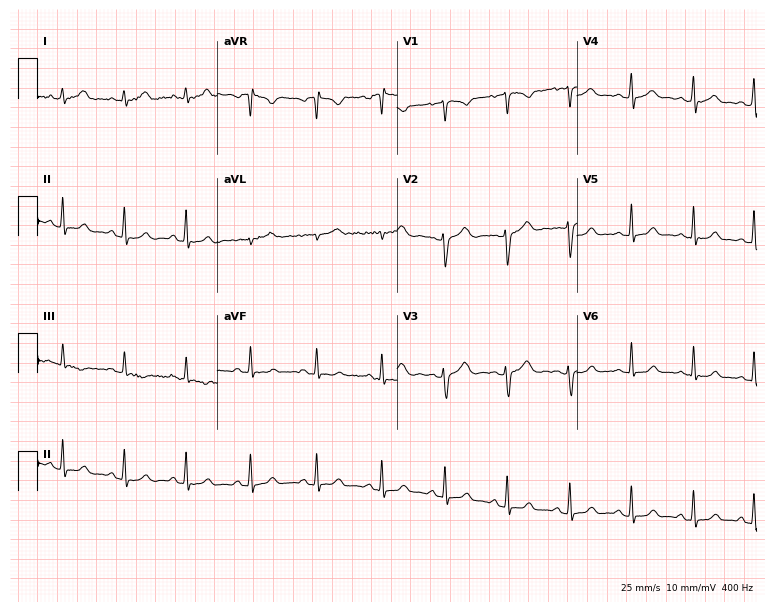
ECG — a 24-year-old female. Screened for six findings — first-degree AV block, right bundle branch block (RBBB), left bundle branch block (LBBB), sinus bradycardia, atrial fibrillation (AF), sinus tachycardia — none is recorded.